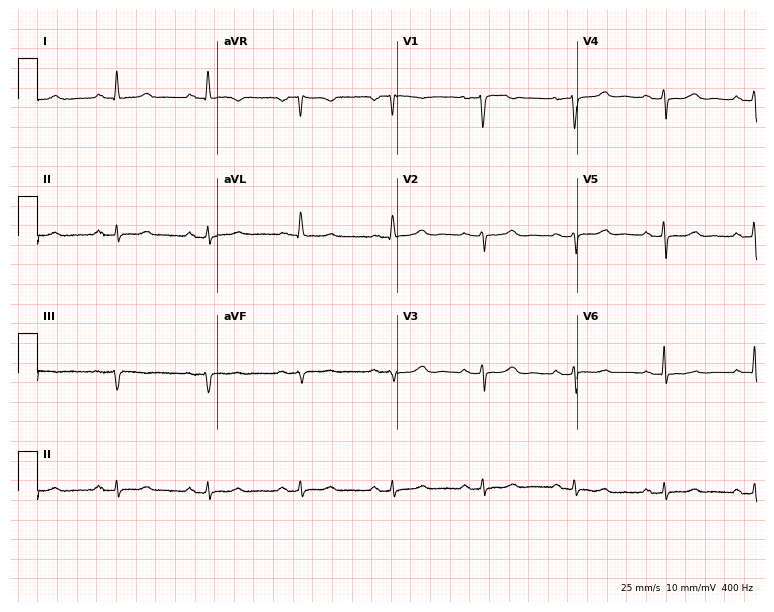
Resting 12-lead electrocardiogram. Patient: a 52-year-old female. None of these six findings is recorded: first-degree AV block, right bundle branch block, left bundle branch block, sinus bradycardia, atrial fibrillation, sinus tachycardia.